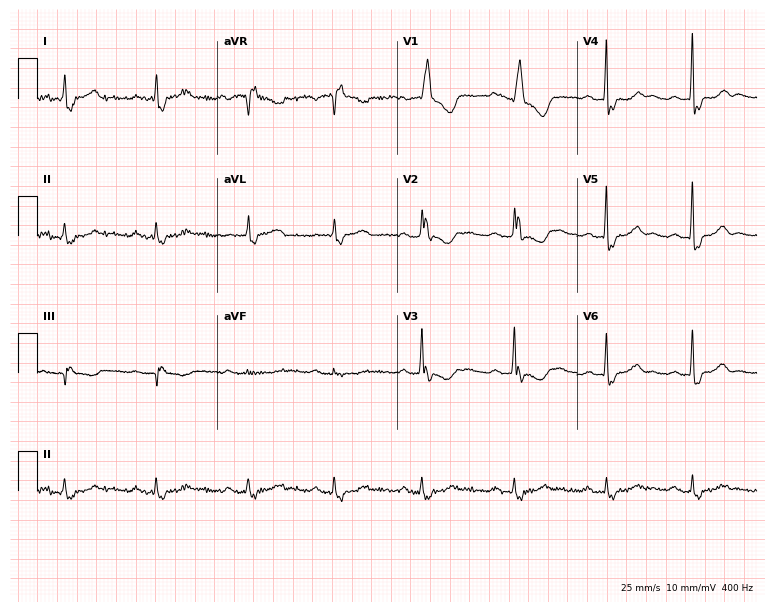
ECG — a woman, 71 years old. Findings include right bundle branch block (RBBB).